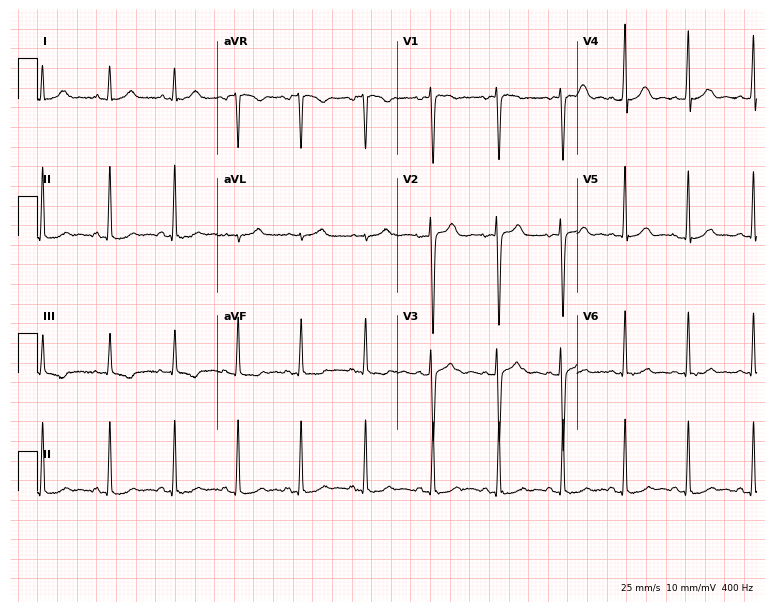
Electrocardiogram (7.3-second recording at 400 Hz), a woman, 24 years old. Of the six screened findings (first-degree AV block, right bundle branch block, left bundle branch block, sinus bradycardia, atrial fibrillation, sinus tachycardia), none is recorded.